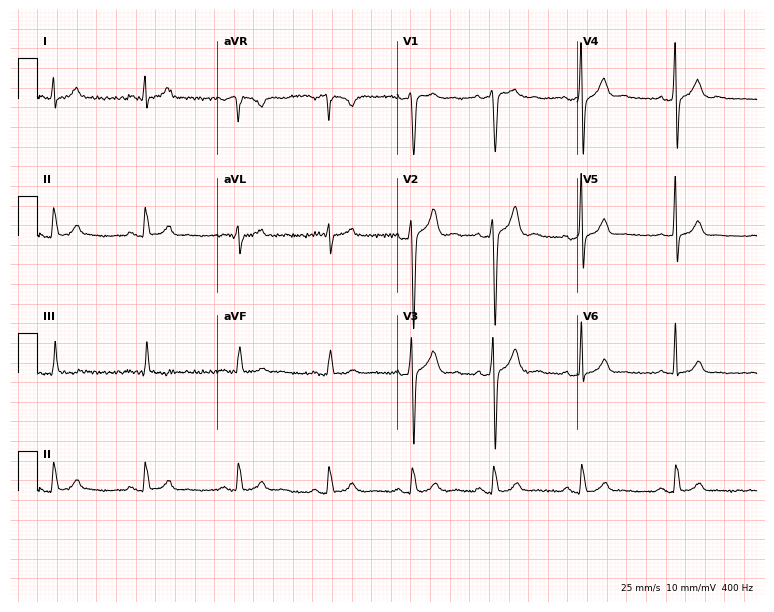
Standard 12-lead ECG recorded from a male, 27 years old. None of these six findings is recorded: first-degree AV block, right bundle branch block, left bundle branch block, sinus bradycardia, atrial fibrillation, sinus tachycardia.